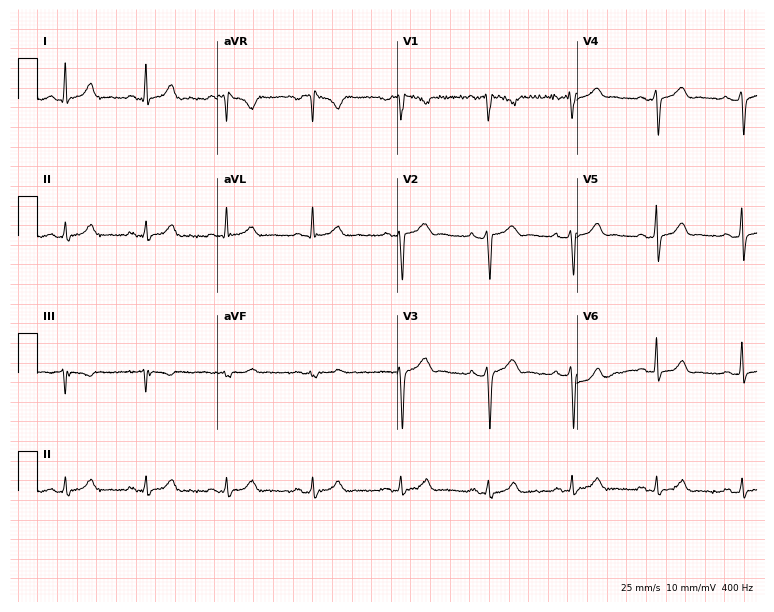
12-lead ECG (7.3-second recording at 400 Hz) from a male patient, 34 years old. Screened for six findings — first-degree AV block, right bundle branch block, left bundle branch block, sinus bradycardia, atrial fibrillation, sinus tachycardia — none is recorded.